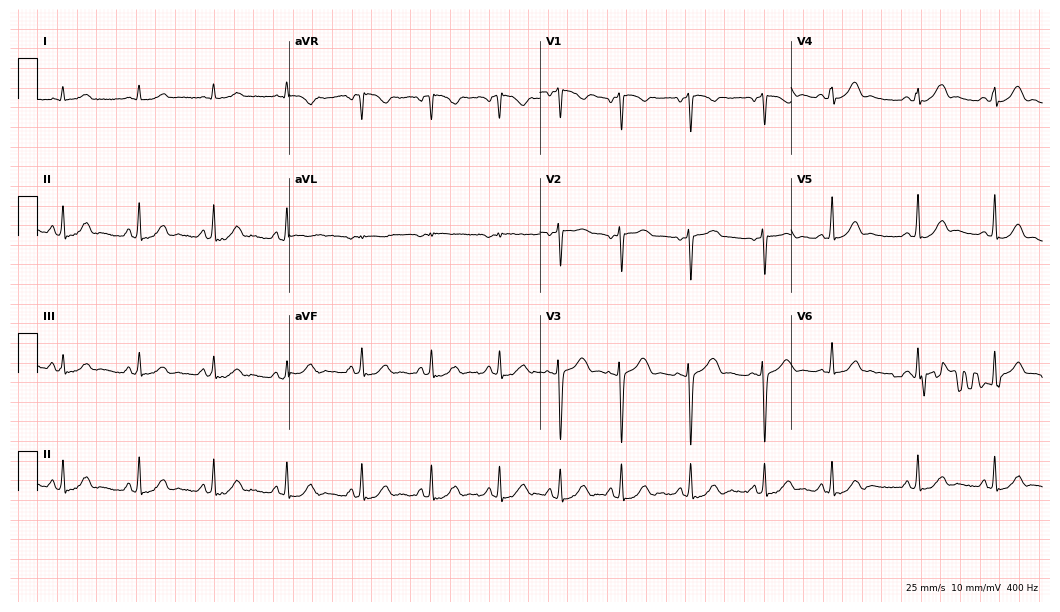
Standard 12-lead ECG recorded from a 28-year-old female patient. Read as a normal ECG.